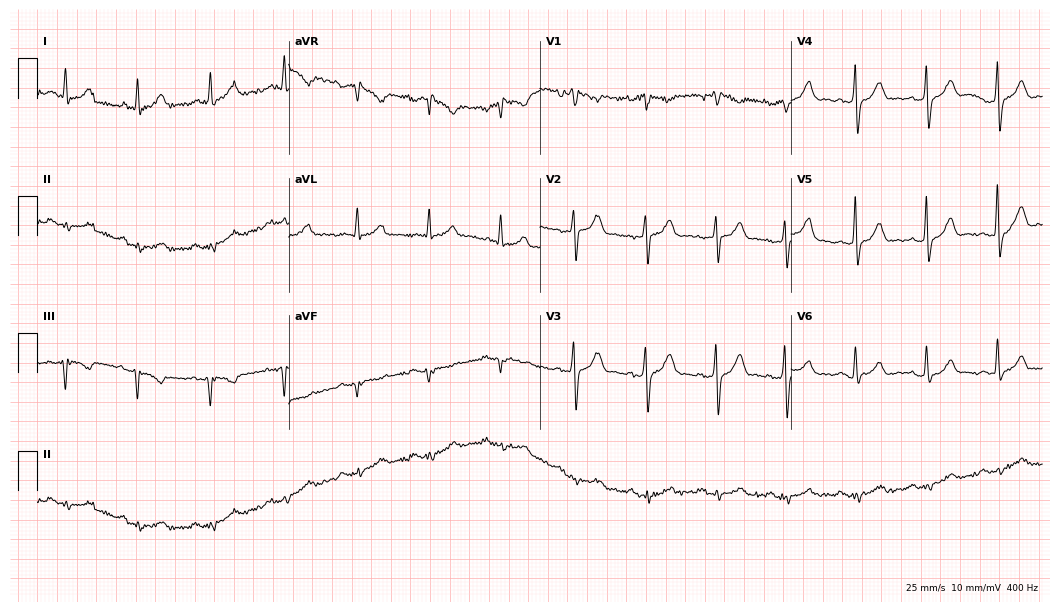
Resting 12-lead electrocardiogram. Patient: a 57-year-old male. None of these six findings is recorded: first-degree AV block, right bundle branch block, left bundle branch block, sinus bradycardia, atrial fibrillation, sinus tachycardia. Only these six findings were labelled.